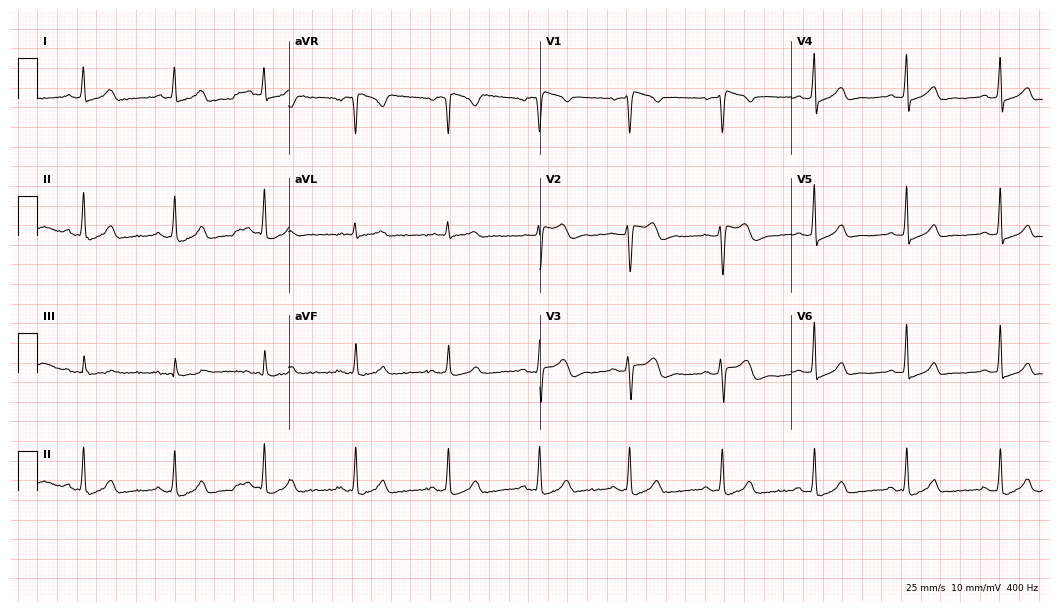
Standard 12-lead ECG recorded from a female, 54 years old. None of these six findings is recorded: first-degree AV block, right bundle branch block, left bundle branch block, sinus bradycardia, atrial fibrillation, sinus tachycardia.